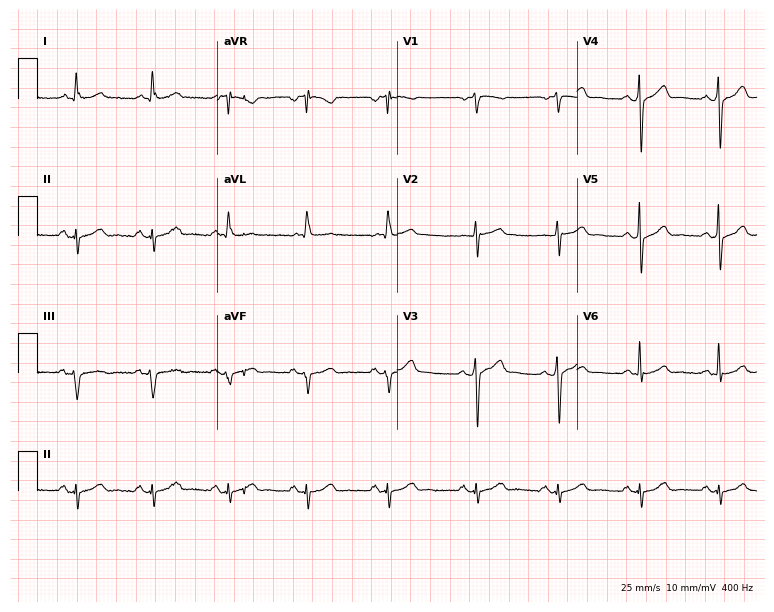
12-lead ECG (7.3-second recording at 400 Hz) from a male patient, 65 years old. Screened for six findings — first-degree AV block, right bundle branch block, left bundle branch block, sinus bradycardia, atrial fibrillation, sinus tachycardia — none is recorded. Findings outside these six are not listed.